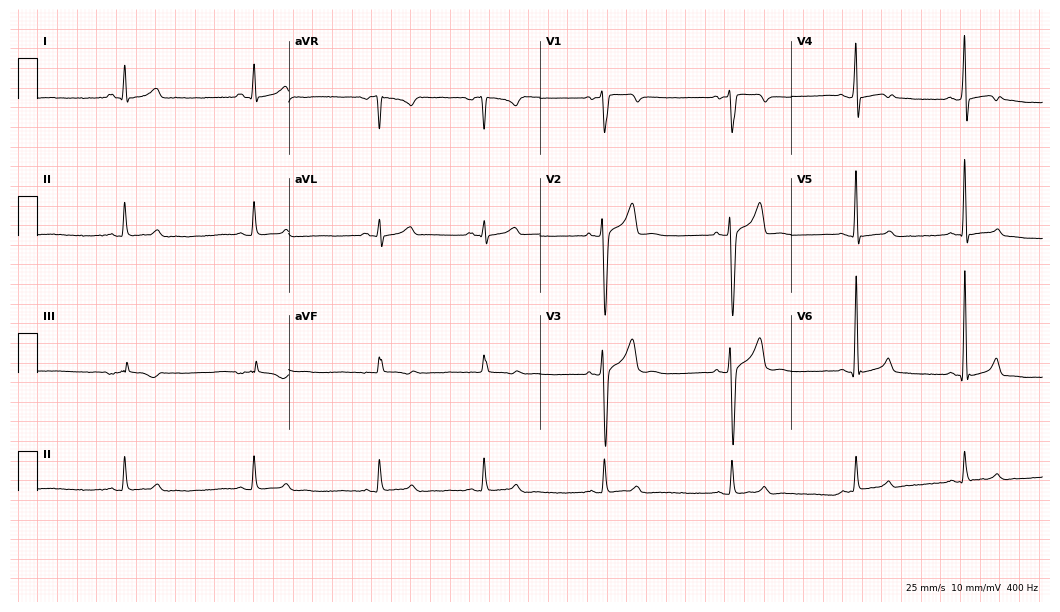
12-lead ECG (10.2-second recording at 400 Hz) from a 22-year-old male. Findings include sinus bradycardia (a sinus rate of 50 beats per minute or less).